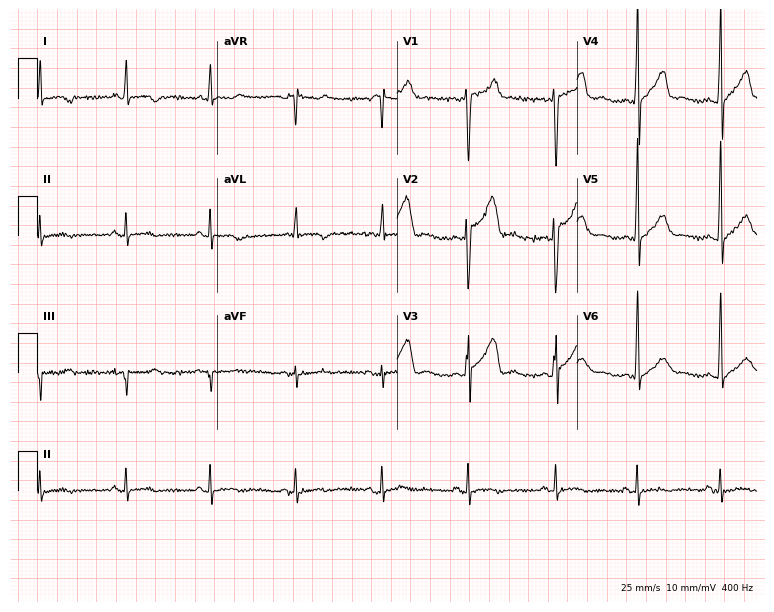
Resting 12-lead electrocardiogram. Patient: a man, 35 years old. None of these six findings is recorded: first-degree AV block, right bundle branch block, left bundle branch block, sinus bradycardia, atrial fibrillation, sinus tachycardia. Findings outside these six are not listed.